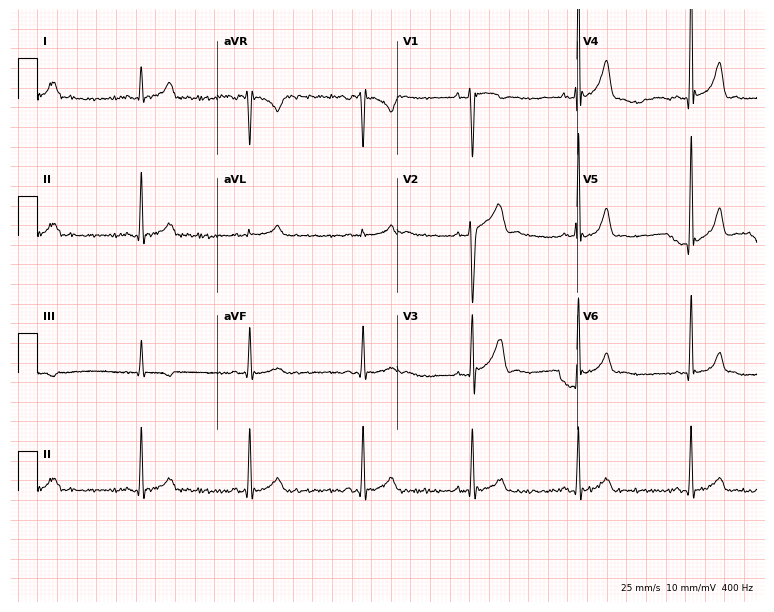
ECG (7.3-second recording at 400 Hz) — a 20-year-old male patient. Screened for six findings — first-degree AV block, right bundle branch block, left bundle branch block, sinus bradycardia, atrial fibrillation, sinus tachycardia — none is recorded.